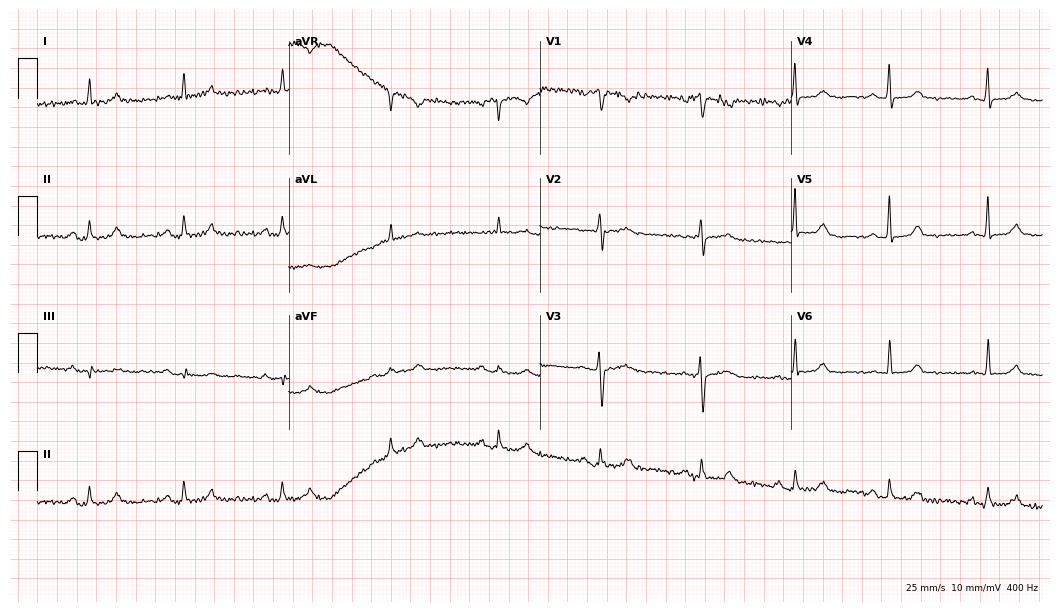
Electrocardiogram, a female, 77 years old. Overall reading on record: normal ECG.